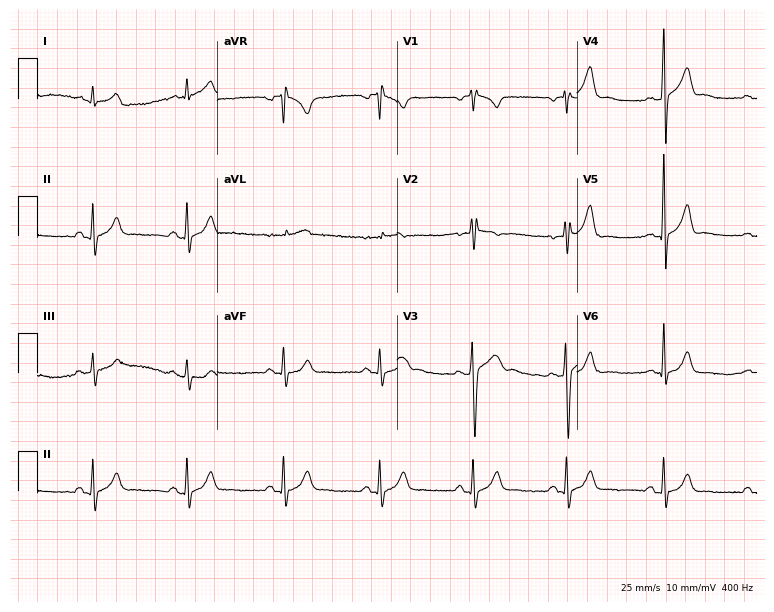
Standard 12-lead ECG recorded from a male, 27 years old. None of these six findings is recorded: first-degree AV block, right bundle branch block (RBBB), left bundle branch block (LBBB), sinus bradycardia, atrial fibrillation (AF), sinus tachycardia. Other findings, if any, are not listed.